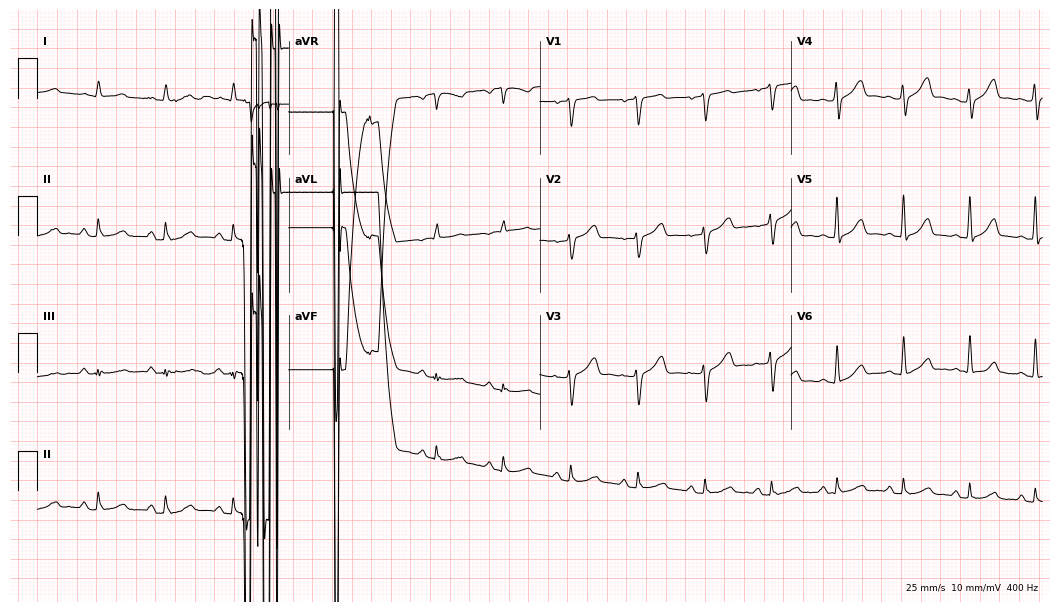
Standard 12-lead ECG recorded from a 62-year-old woman. None of these six findings is recorded: first-degree AV block, right bundle branch block, left bundle branch block, sinus bradycardia, atrial fibrillation, sinus tachycardia.